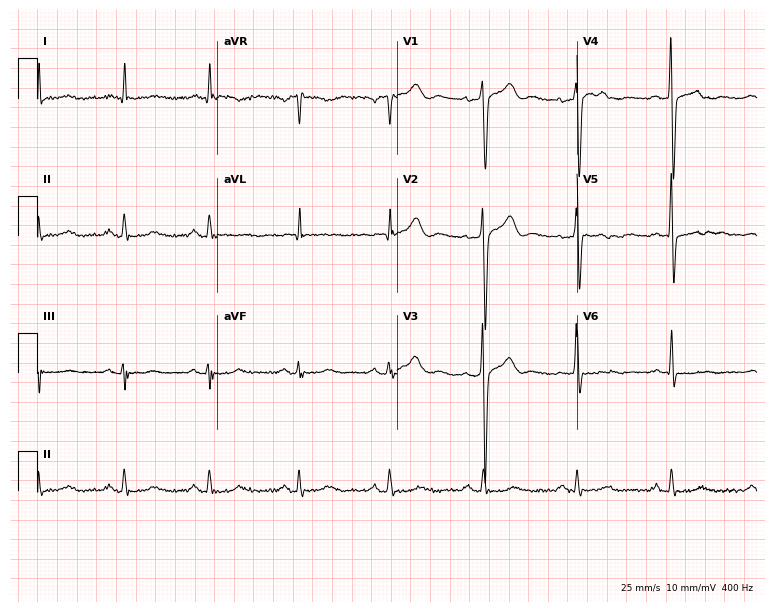
Electrocardiogram, an 82-year-old male. Of the six screened findings (first-degree AV block, right bundle branch block, left bundle branch block, sinus bradycardia, atrial fibrillation, sinus tachycardia), none is recorded. Only these six findings were labelled.